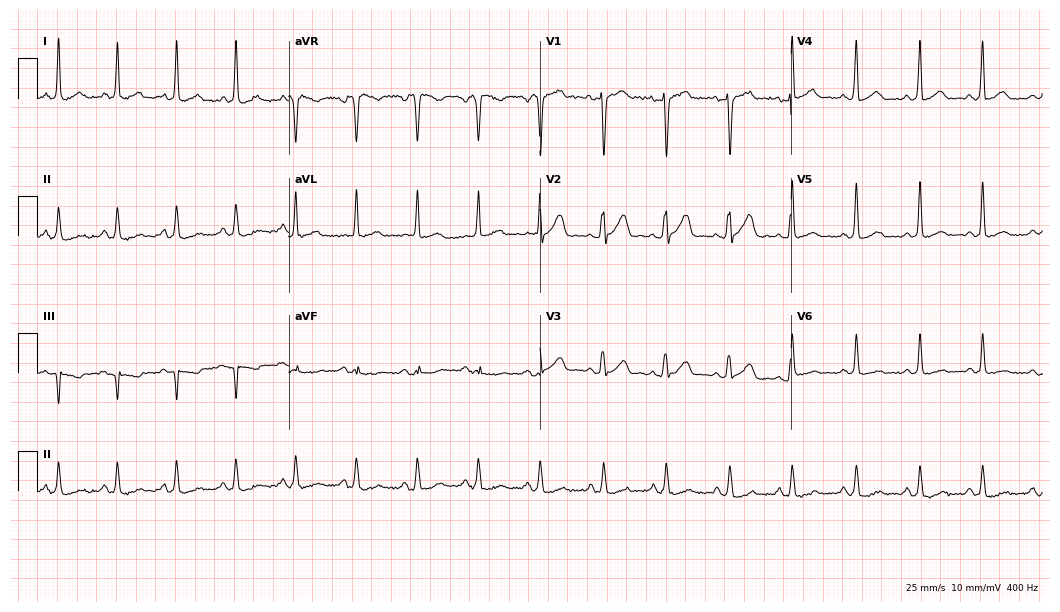
ECG — a 46-year-old male. Screened for six findings — first-degree AV block, right bundle branch block, left bundle branch block, sinus bradycardia, atrial fibrillation, sinus tachycardia — none is recorded. Other findings, if any, are not listed.